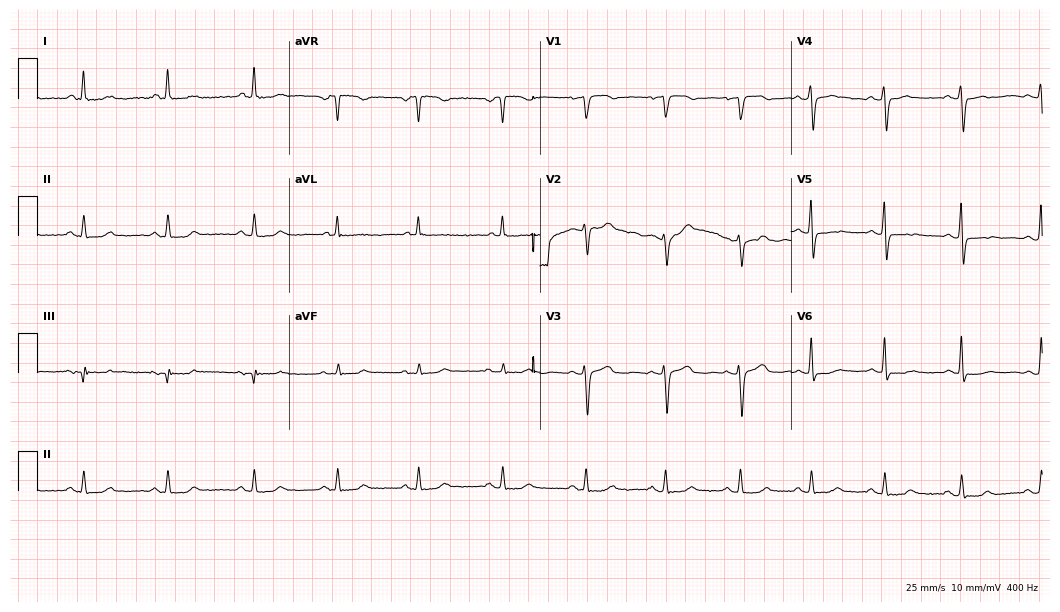
Electrocardiogram (10.2-second recording at 400 Hz), a 52-year-old woman. Of the six screened findings (first-degree AV block, right bundle branch block, left bundle branch block, sinus bradycardia, atrial fibrillation, sinus tachycardia), none is recorded.